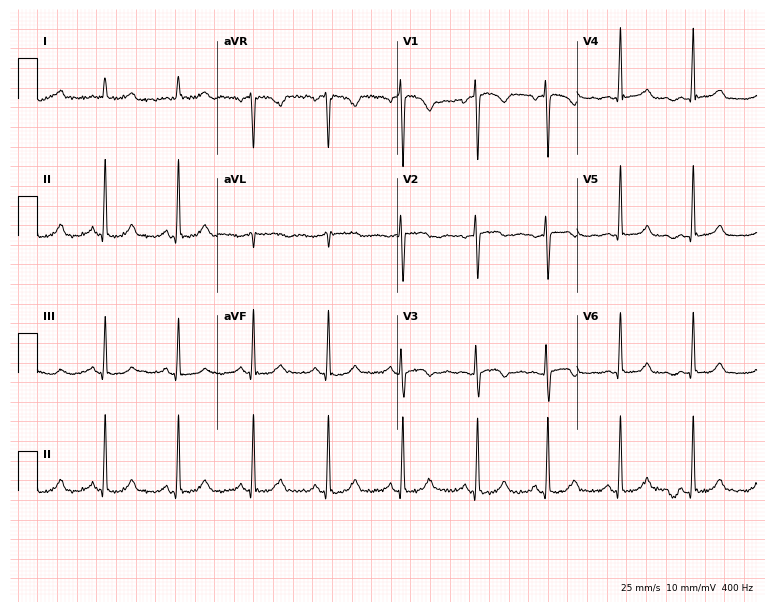
Resting 12-lead electrocardiogram (7.3-second recording at 400 Hz). Patient: a woman, 45 years old. Read as a normal ECG.